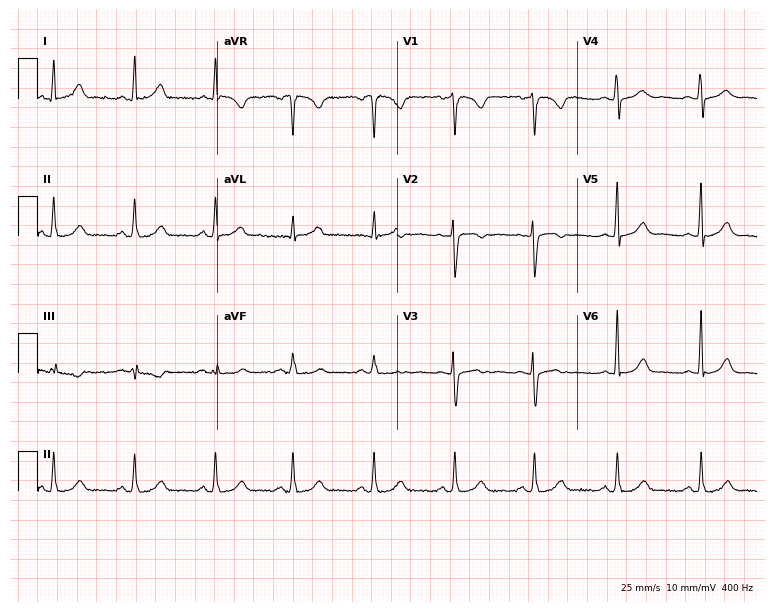
Standard 12-lead ECG recorded from a 39-year-old woman (7.3-second recording at 400 Hz). Read as a normal ECG.